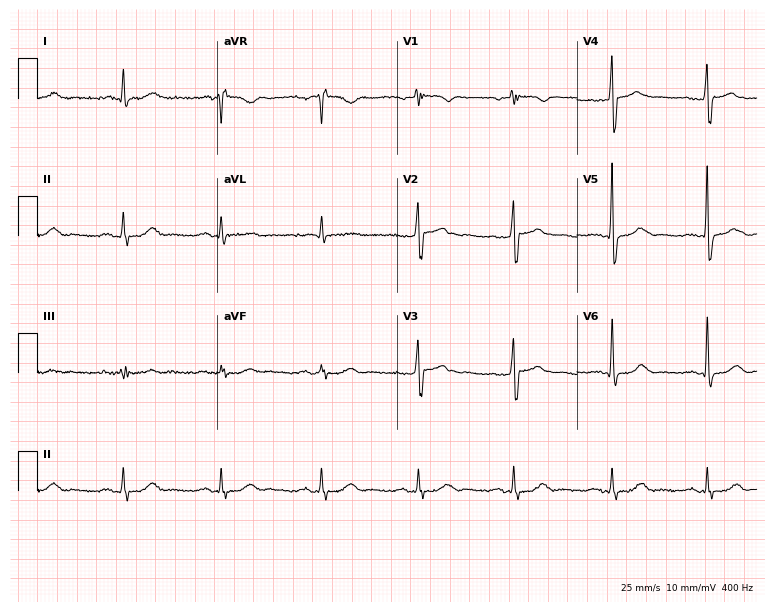
12-lead ECG from a male patient, 47 years old. No first-degree AV block, right bundle branch block (RBBB), left bundle branch block (LBBB), sinus bradycardia, atrial fibrillation (AF) or sinus tachycardia recorded for this tracing.